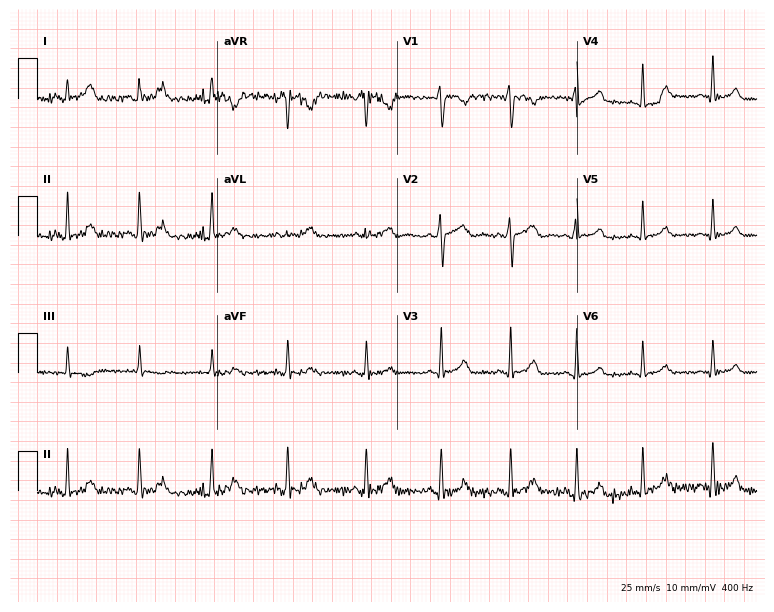
12-lead ECG (7.3-second recording at 400 Hz) from a woman, 24 years old. Screened for six findings — first-degree AV block, right bundle branch block, left bundle branch block, sinus bradycardia, atrial fibrillation, sinus tachycardia — none is recorded. Other findings, if any, are not listed.